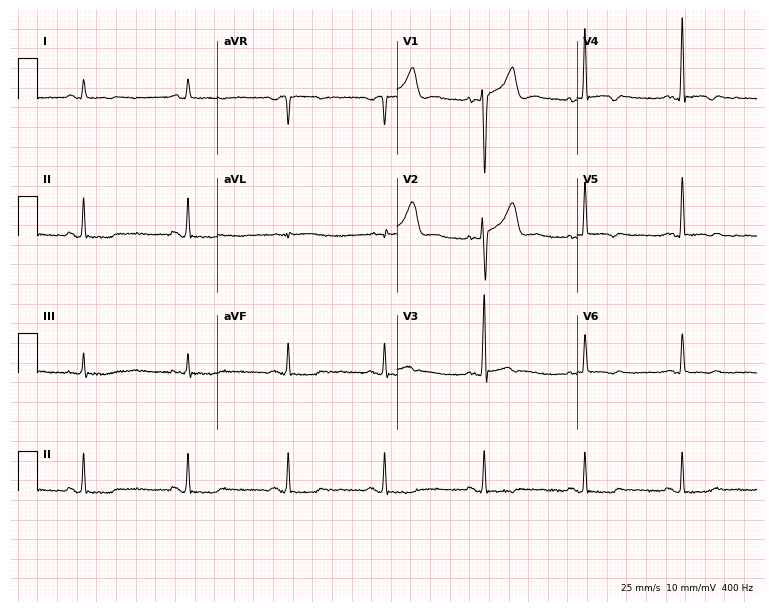
Standard 12-lead ECG recorded from a male patient, 37 years old (7.3-second recording at 400 Hz). None of these six findings is recorded: first-degree AV block, right bundle branch block, left bundle branch block, sinus bradycardia, atrial fibrillation, sinus tachycardia.